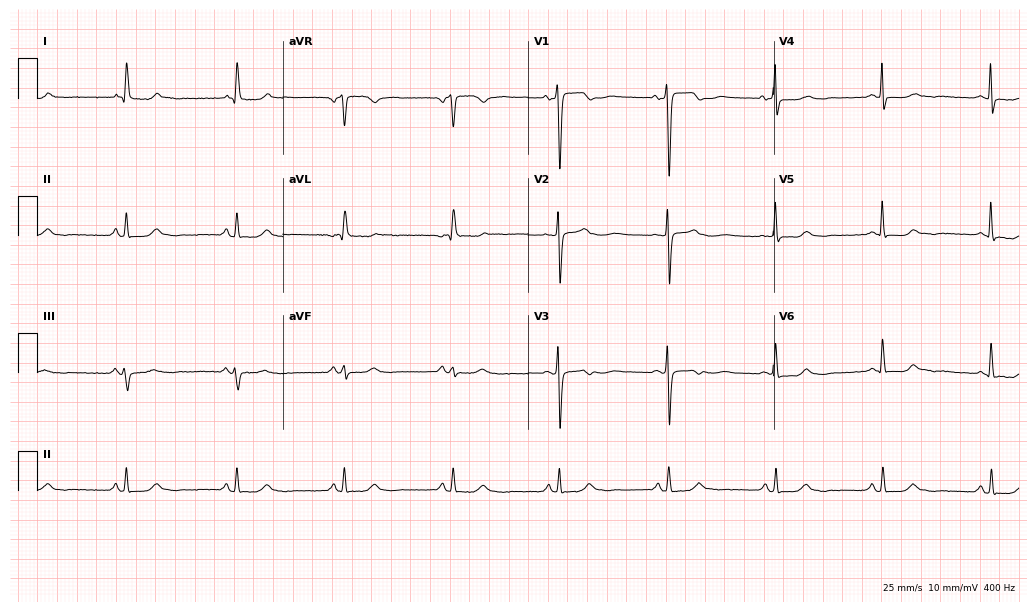
12-lead ECG from a 74-year-old female. No first-degree AV block, right bundle branch block, left bundle branch block, sinus bradycardia, atrial fibrillation or sinus tachycardia recorded for this tracing. Findings outside these six are not listed.